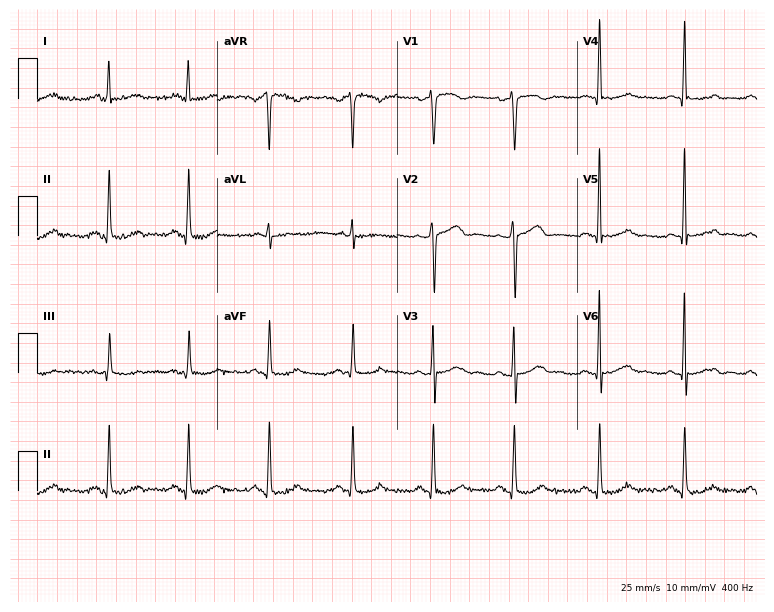
Standard 12-lead ECG recorded from a 60-year-old female (7.3-second recording at 400 Hz). Read as a normal ECG.